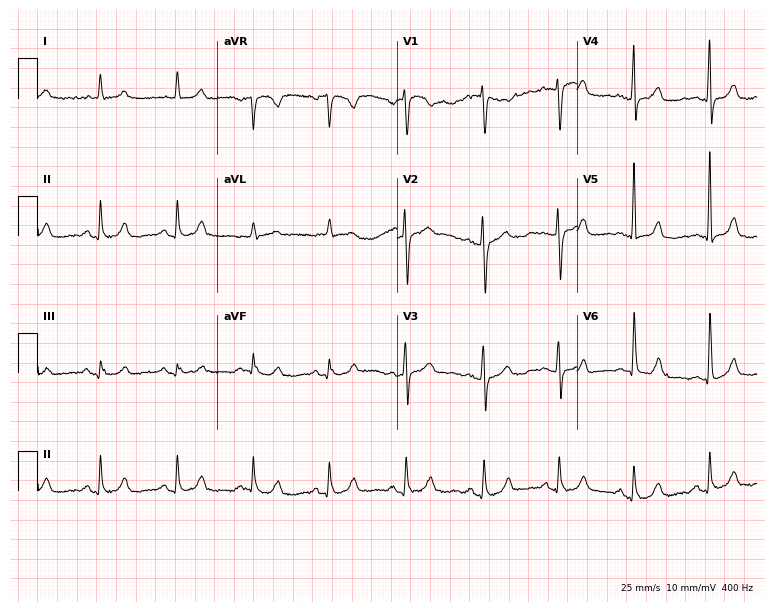
ECG (7.3-second recording at 400 Hz) — a female patient, 31 years old. Labelled as a normal ECG.